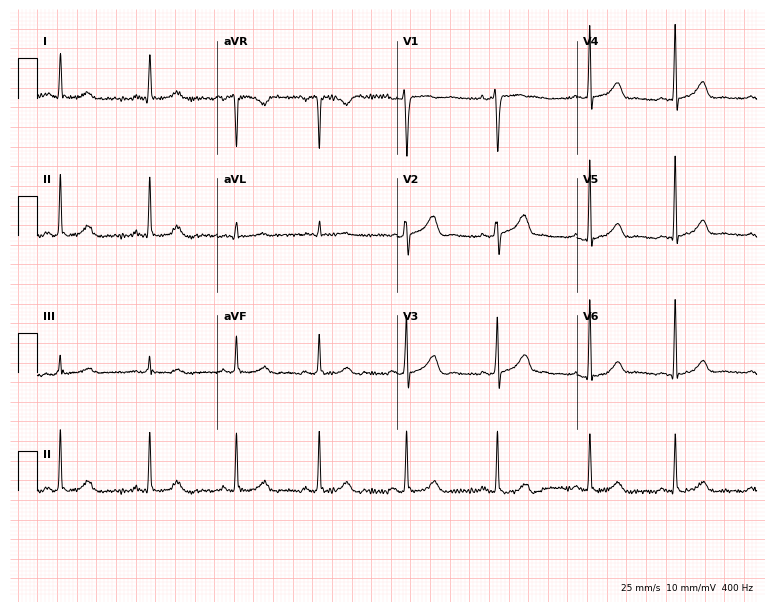
Standard 12-lead ECG recorded from a female, 36 years old. None of these six findings is recorded: first-degree AV block, right bundle branch block, left bundle branch block, sinus bradycardia, atrial fibrillation, sinus tachycardia.